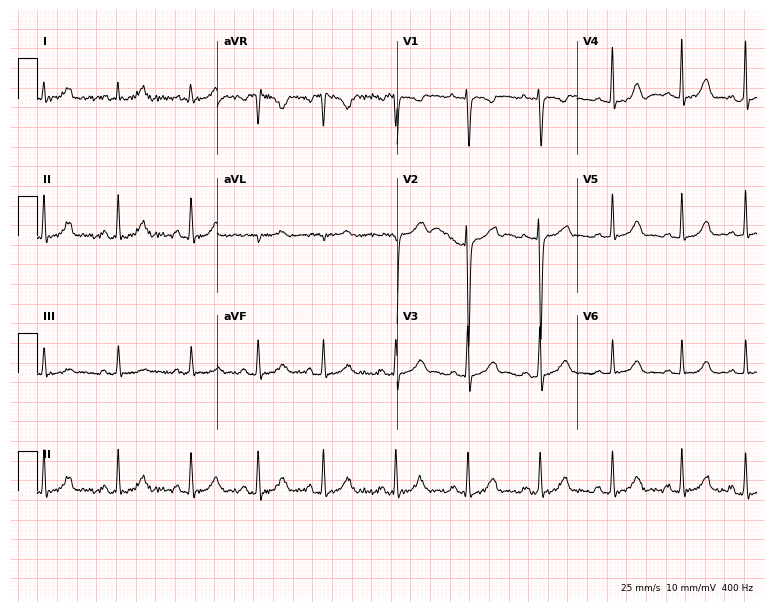
Resting 12-lead electrocardiogram (7.3-second recording at 400 Hz). Patient: a female, 17 years old. None of these six findings is recorded: first-degree AV block, right bundle branch block, left bundle branch block, sinus bradycardia, atrial fibrillation, sinus tachycardia.